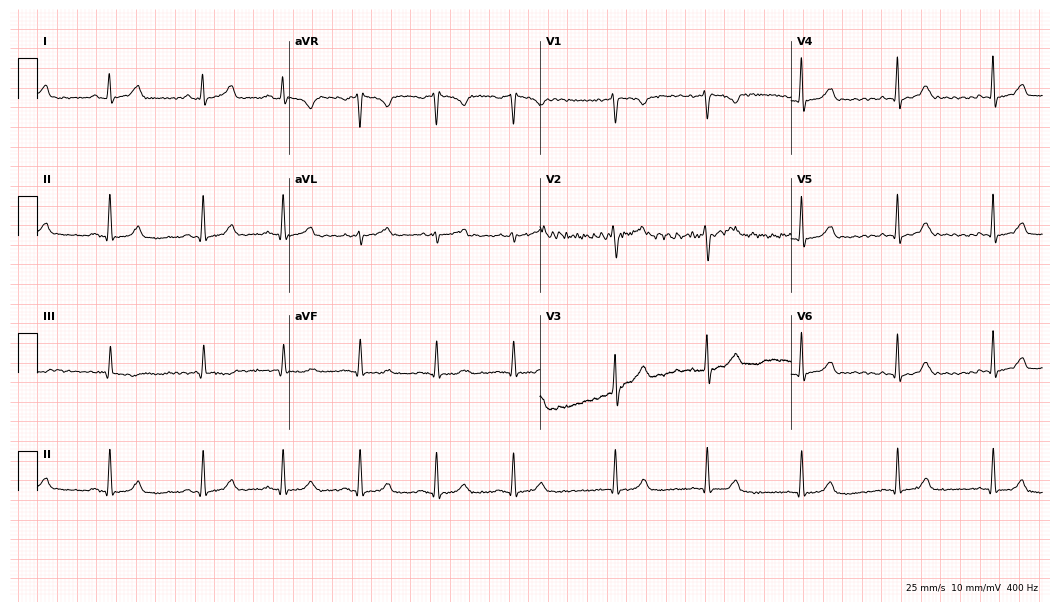
12-lead ECG from a 25-year-old woman. Labelled as a normal ECG.